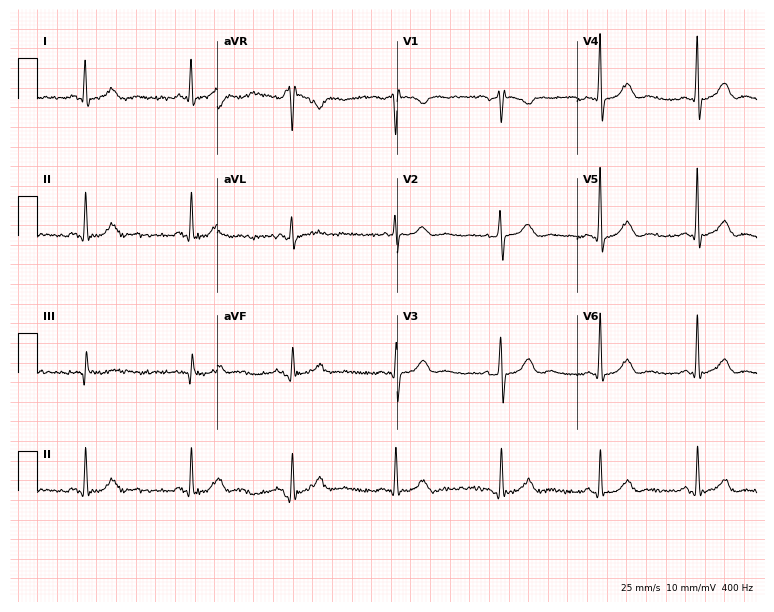
Standard 12-lead ECG recorded from a male patient, 59 years old. None of these six findings is recorded: first-degree AV block, right bundle branch block (RBBB), left bundle branch block (LBBB), sinus bradycardia, atrial fibrillation (AF), sinus tachycardia. Only these six findings were labelled.